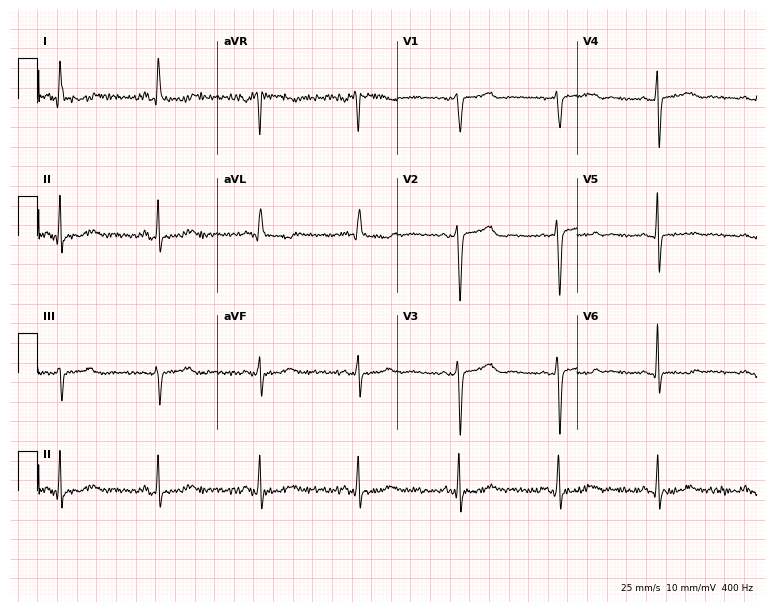
Standard 12-lead ECG recorded from a 52-year-old female patient. None of these six findings is recorded: first-degree AV block, right bundle branch block (RBBB), left bundle branch block (LBBB), sinus bradycardia, atrial fibrillation (AF), sinus tachycardia. Only these six findings were labelled.